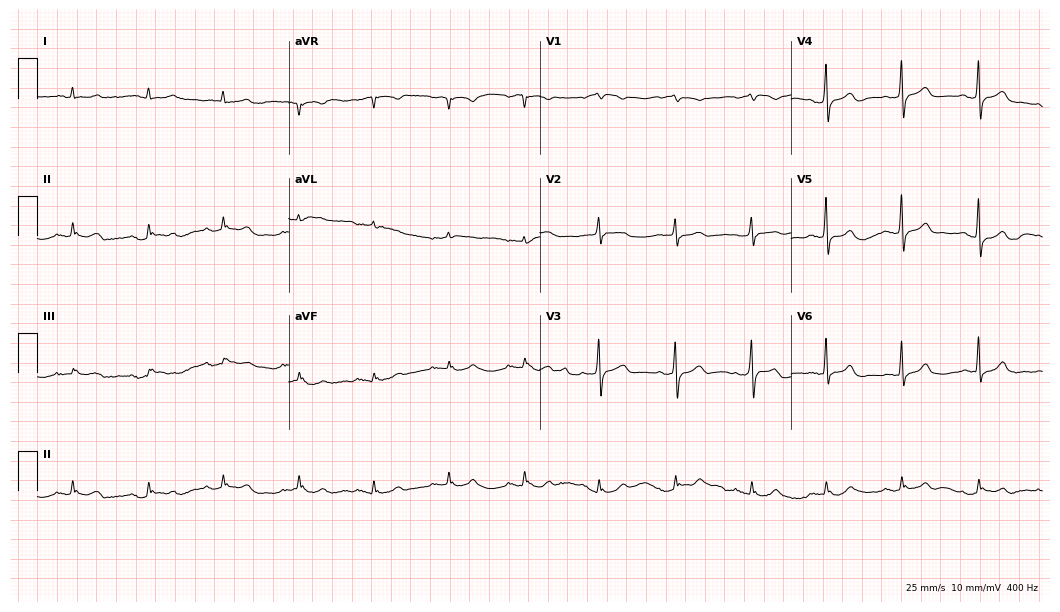
ECG (10.2-second recording at 400 Hz) — a male patient, 67 years old. Labelled as a normal ECG.